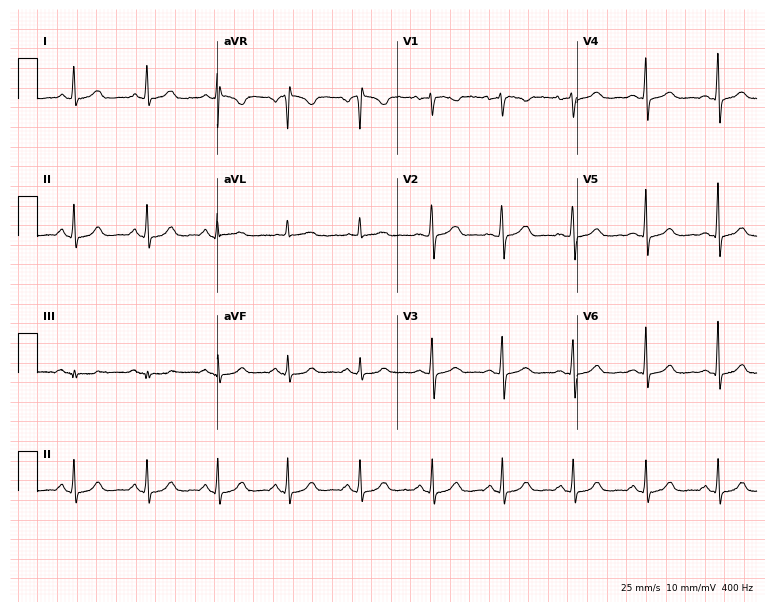
Standard 12-lead ECG recorded from a 43-year-old female. None of these six findings is recorded: first-degree AV block, right bundle branch block (RBBB), left bundle branch block (LBBB), sinus bradycardia, atrial fibrillation (AF), sinus tachycardia.